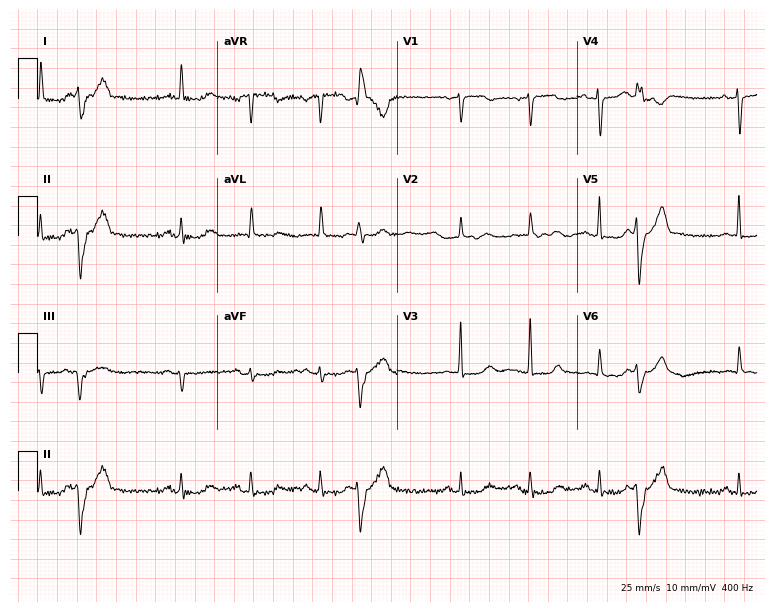
ECG — an 80-year-old female. Screened for six findings — first-degree AV block, right bundle branch block, left bundle branch block, sinus bradycardia, atrial fibrillation, sinus tachycardia — none is recorded.